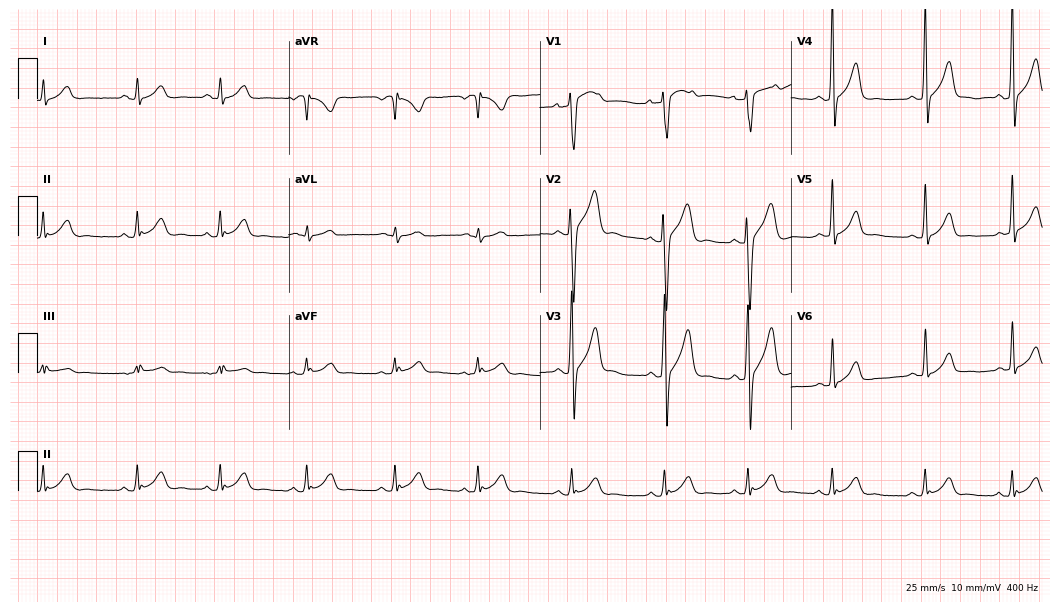
ECG (10.2-second recording at 400 Hz) — a male, 17 years old. Labelled as a normal ECG.